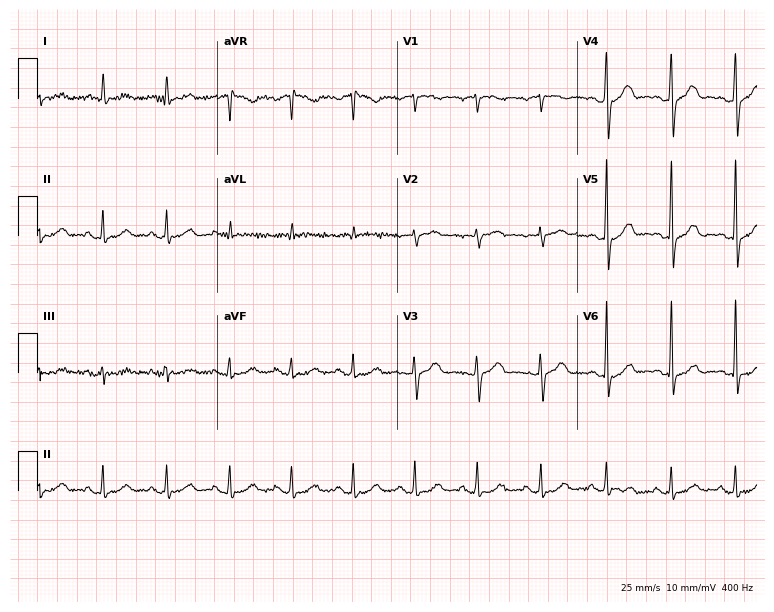
Resting 12-lead electrocardiogram (7.3-second recording at 400 Hz). Patient: a 54-year-old female. None of these six findings is recorded: first-degree AV block, right bundle branch block, left bundle branch block, sinus bradycardia, atrial fibrillation, sinus tachycardia.